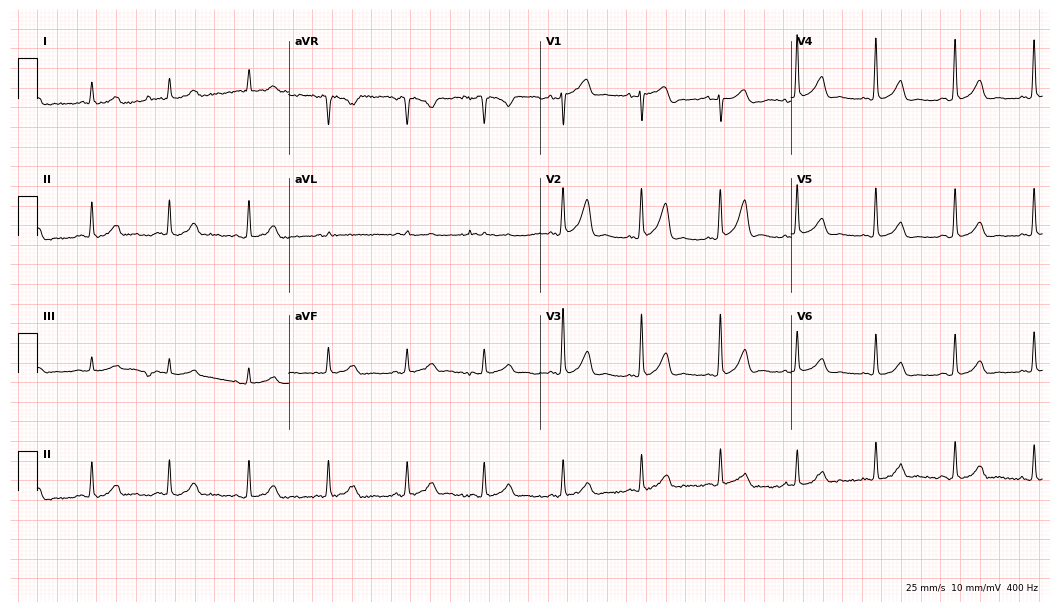
Standard 12-lead ECG recorded from a woman, 65 years old. Read as a normal ECG.